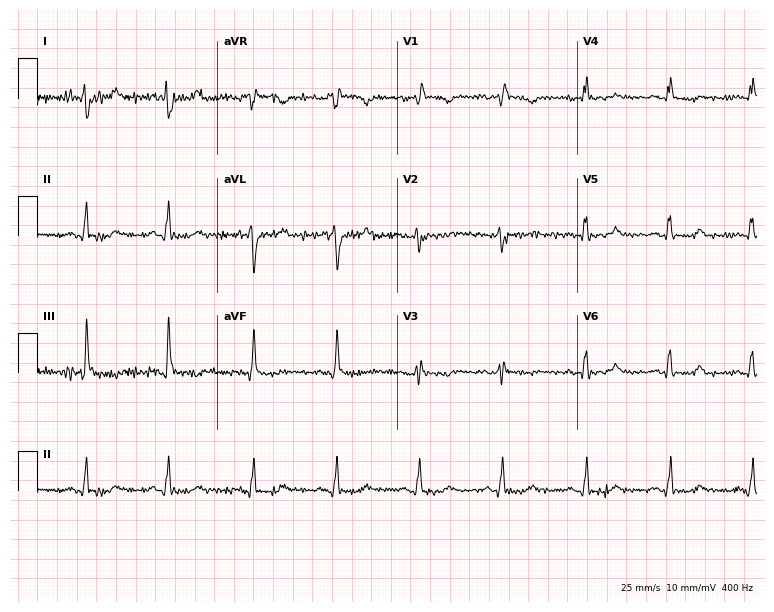
Resting 12-lead electrocardiogram. Patient: a female, 73 years old. None of these six findings is recorded: first-degree AV block, right bundle branch block (RBBB), left bundle branch block (LBBB), sinus bradycardia, atrial fibrillation (AF), sinus tachycardia. Other findings, if any, are not listed.